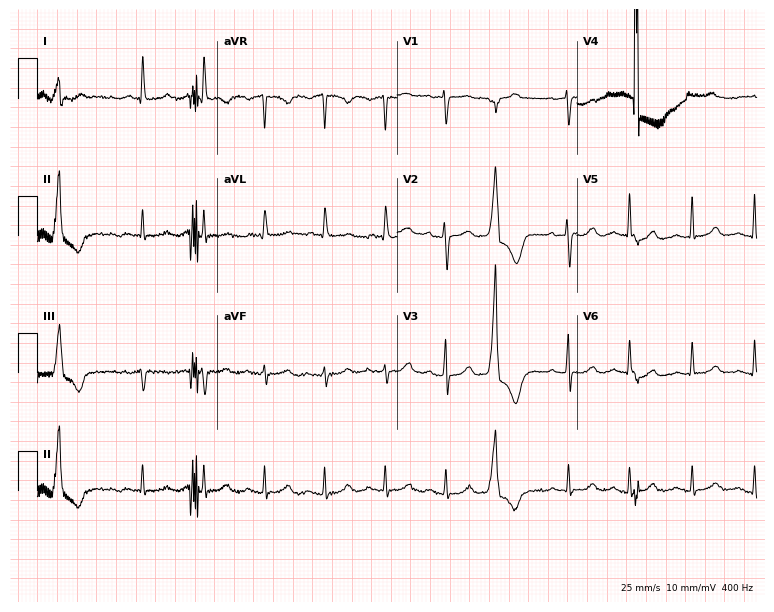
Resting 12-lead electrocardiogram (7.3-second recording at 400 Hz). Patient: a 74-year-old woman. None of these six findings is recorded: first-degree AV block, right bundle branch block, left bundle branch block, sinus bradycardia, atrial fibrillation, sinus tachycardia. Only these six findings were labelled.